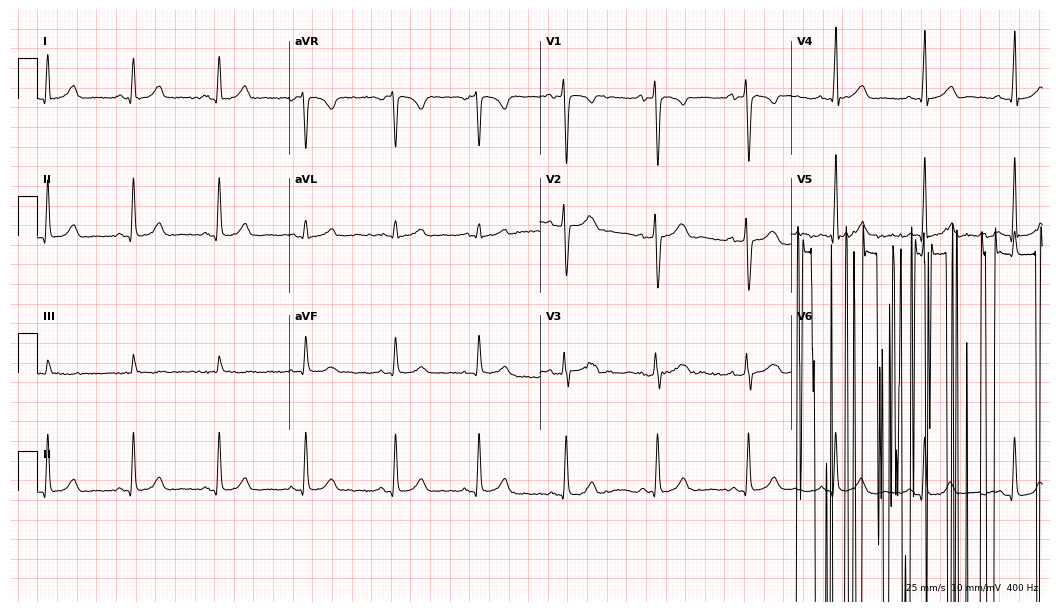
12-lead ECG from a 36-year-old female patient. No first-degree AV block, right bundle branch block, left bundle branch block, sinus bradycardia, atrial fibrillation or sinus tachycardia recorded for this tracing.